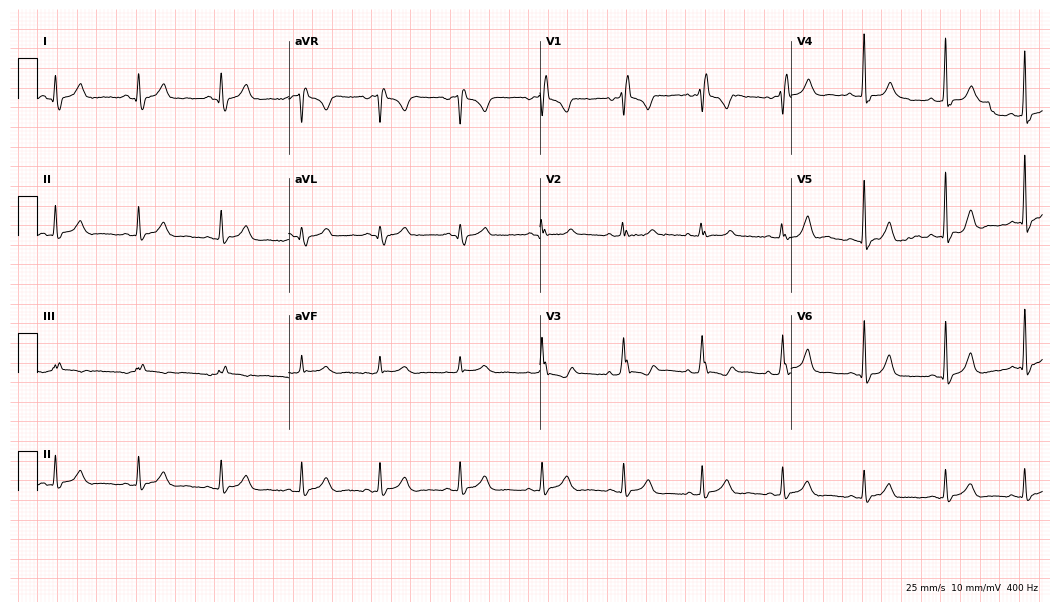
Standard 12-lead ECG recorded from a man, 42 years old (10.2-second recording at 400 Hz). The tracing shows right bundle branch block.